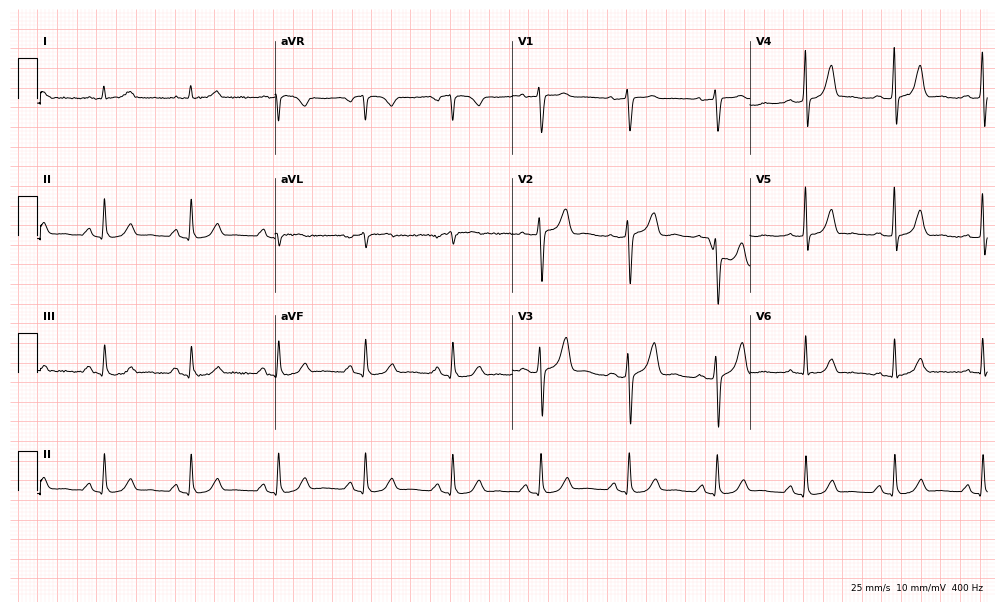
12-lead ECG from a 60-year-old male patient. Recorded interpretation: within normal limits.